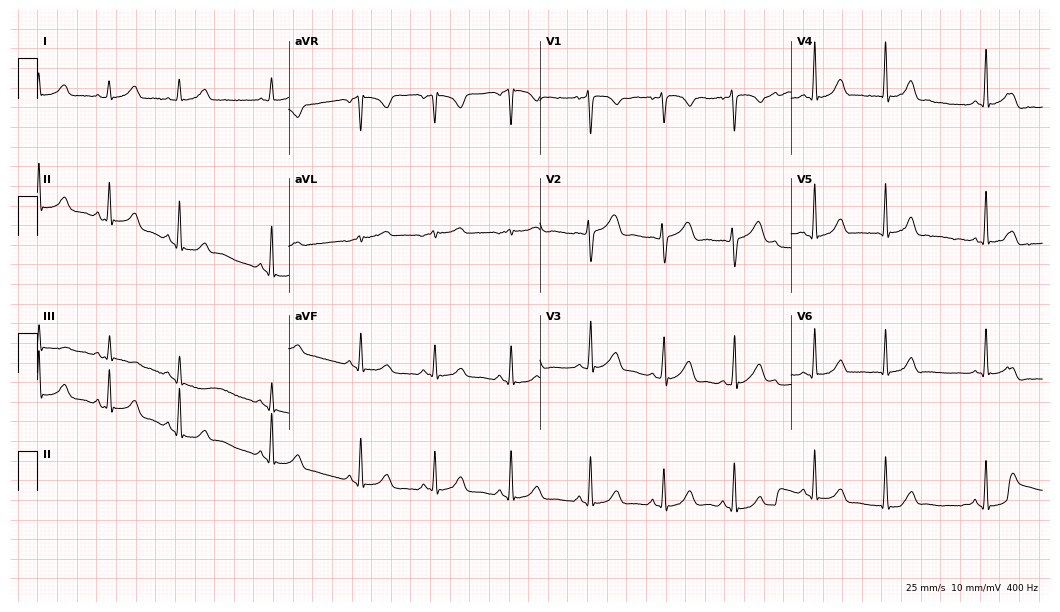
Electrocardiogram (10.2-second recording at 400 Hz), a 23-year-old woman. Overall reading on record: normal ECG.